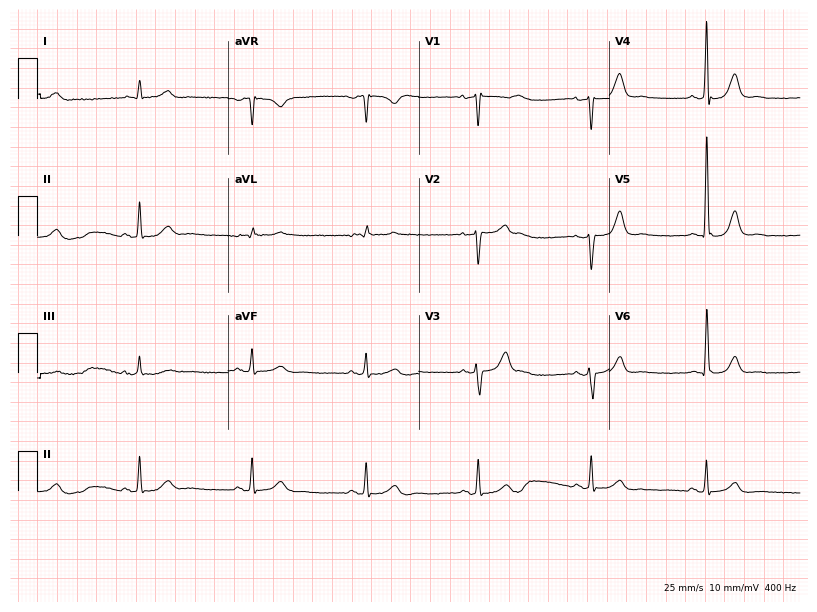
ECG — a man, 60 years old. Screened for six findings — first-degree AV block, right bundle branch block, left bundle branch block, sinus bradycardia, atrial fibrillation, sinus tachycardia — none is recorded. Findings outside these six are not listed.